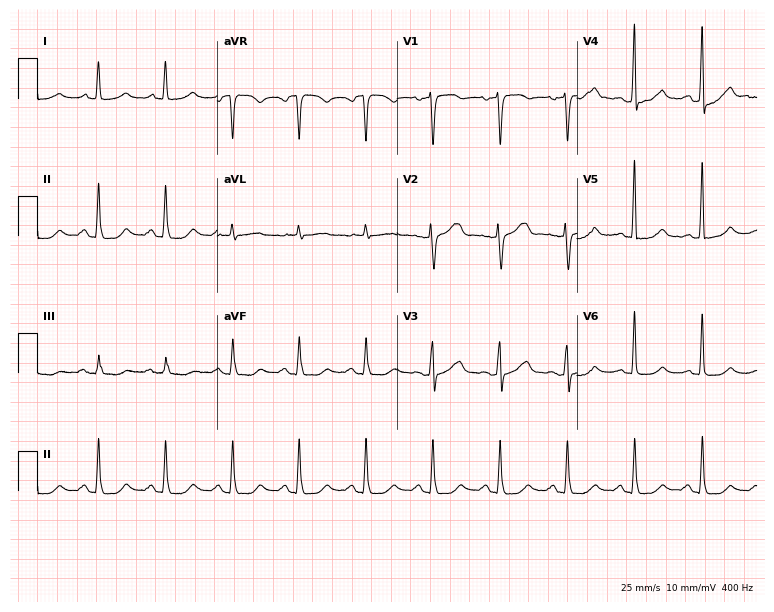
12-lead ECG from a woman, 67 years old (7.3-second recording at 400 Hz). Recorded interpretation: within normal limits.